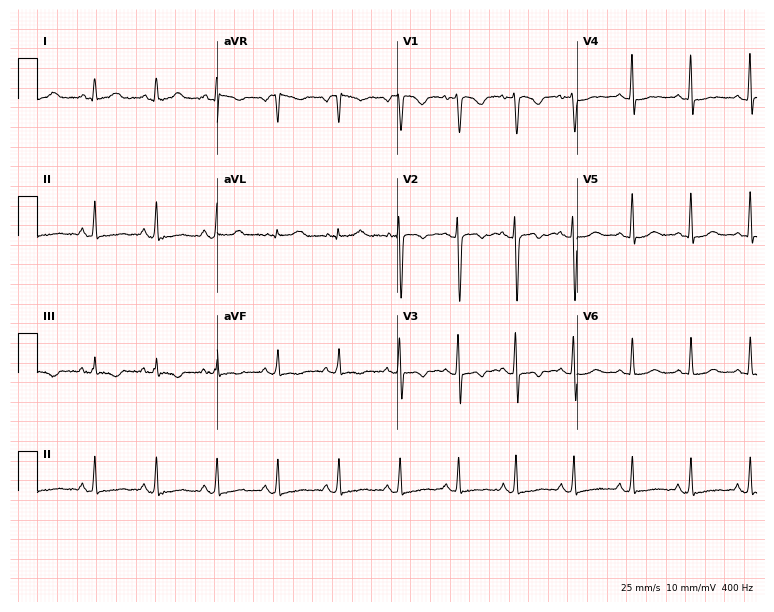
12-lead ECG from a female, 21 years old. No first-degree AV block, right bundle branch block, left bundle branch block, sinus bradycardia, atrial fibrillation or sinus tachycardia recorded for this tracing.